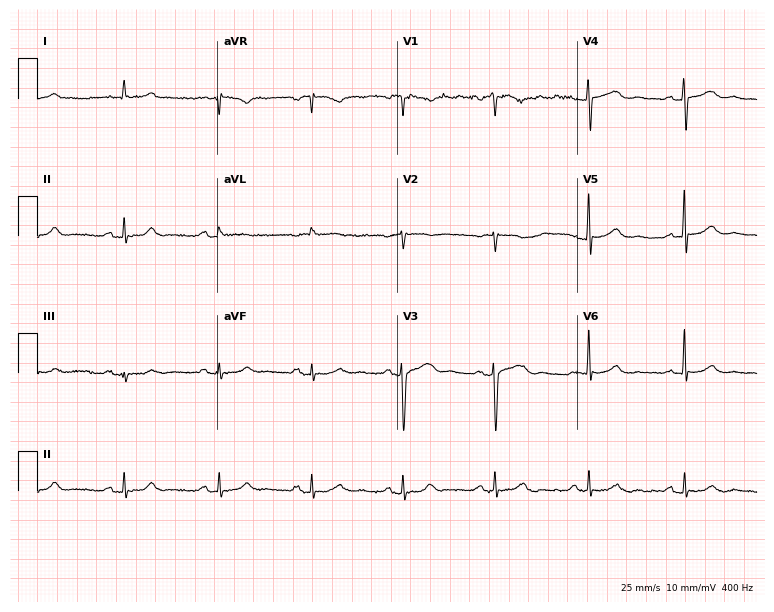
Resting 12-lead electrocardiogram (7.3-second recording at 400 Hz). Patient: a 67-year-old man. Read as a normal ECG.